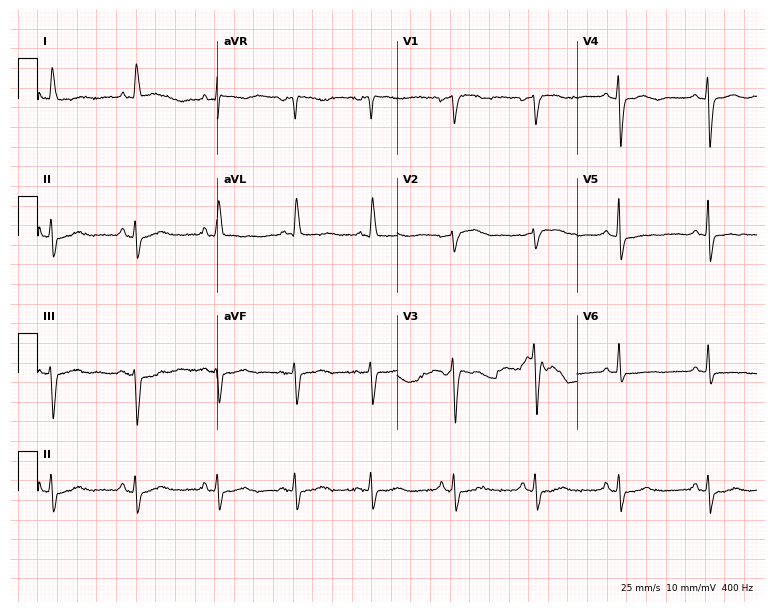
Electrocardiogram, a 72-year-old female patient. Of the six screened findings (first-degree AV block, right bundle branch block (RBBB), left bundle branch block (LBBB), sinus bradycardia, atrial fibrillation (AF), sinus tachycardia), none is recorded.